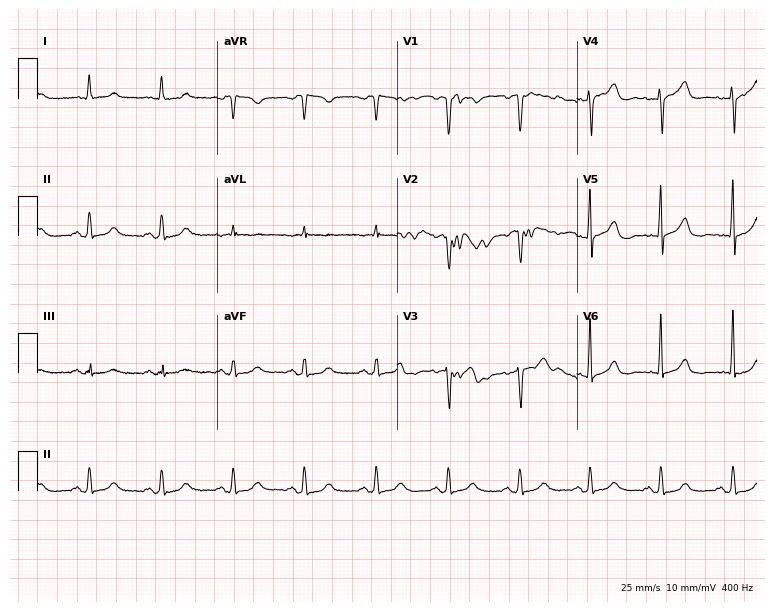
Standard 12-lead ECG recorded from a 64-year-old male. None of these six findings is recorded: first-degree AV block, right bundle branch block, left bundle branch block, sinus bradycardia, atrial fibrillation, sinus tachycardia. Other findings, if any, are not listed.